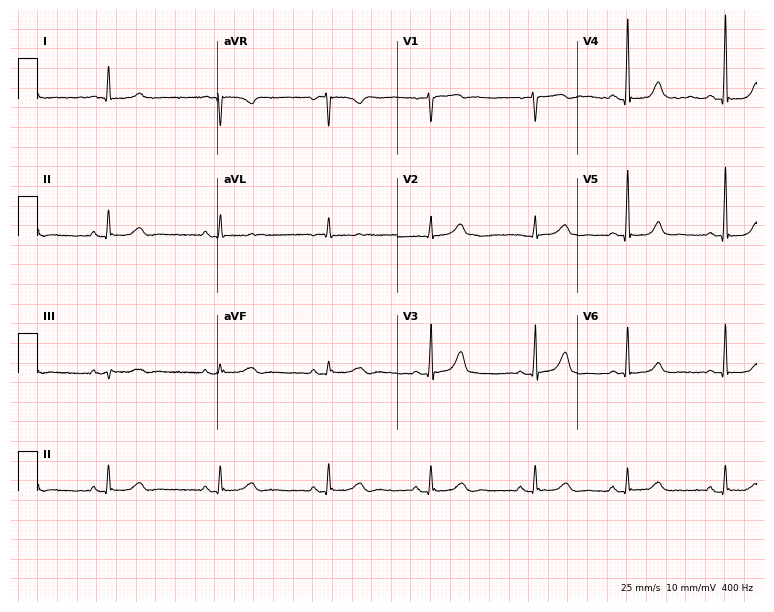
Standard 12-lead ECG recorded from a 68-year-old female patient. Read as a normal ECG.